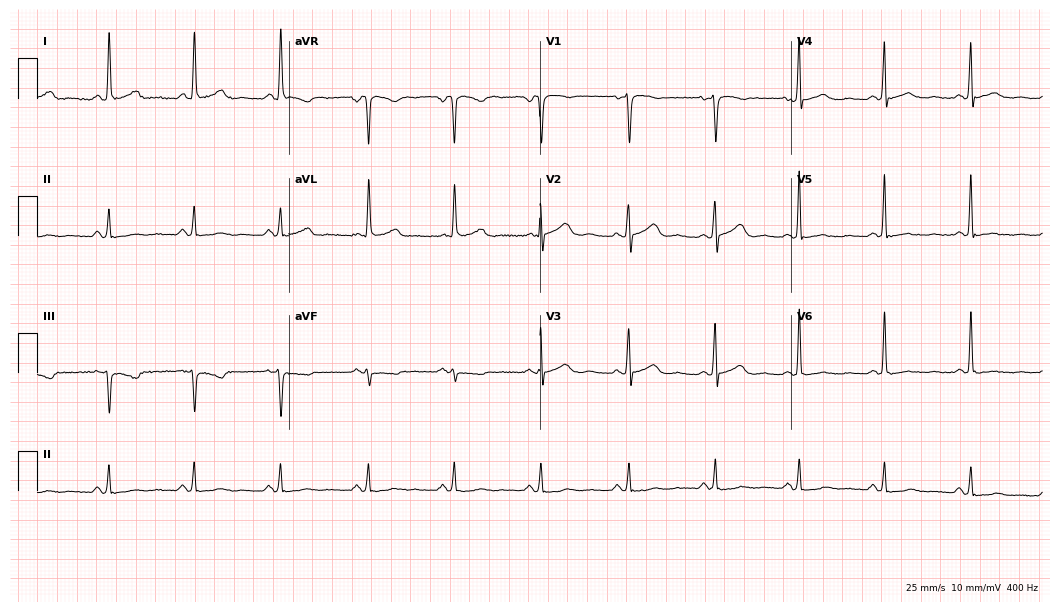
12-lead ECG (10.2-second recording at 400 Hz) from a woman, 53 years old. Screened for six findings — first-degree AV block, right bundle branch block, left bundle branch block, sinus bradycardia, atrial fibrillation, sinus tachycardia — none is recorded.